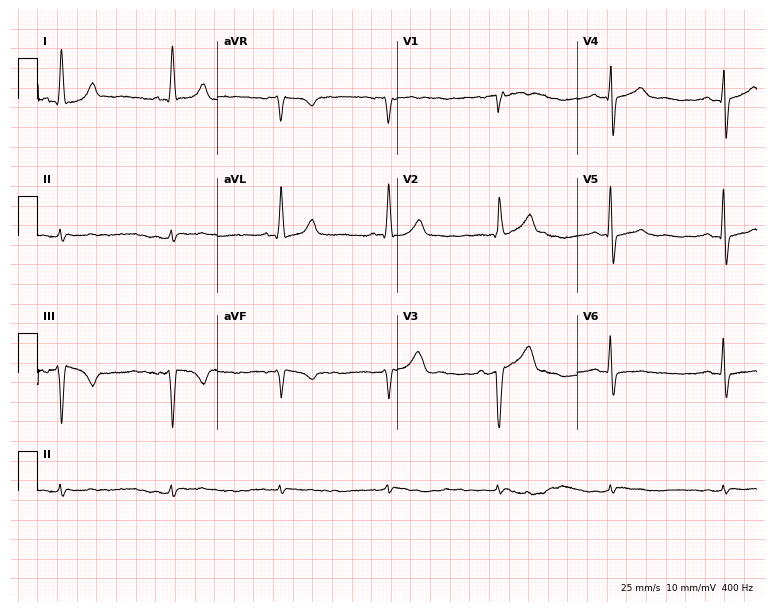
Standard 12-lead ECG recorded from a 46-year-old woman. None of these six findings is recorded: first-degree AV block, right bundle branch block (RBBB), left bundle branch block (LBBB), sinus bradycardia, atrial fibrillation (AF), sinus tachycardia. Only these six findings were labelled.